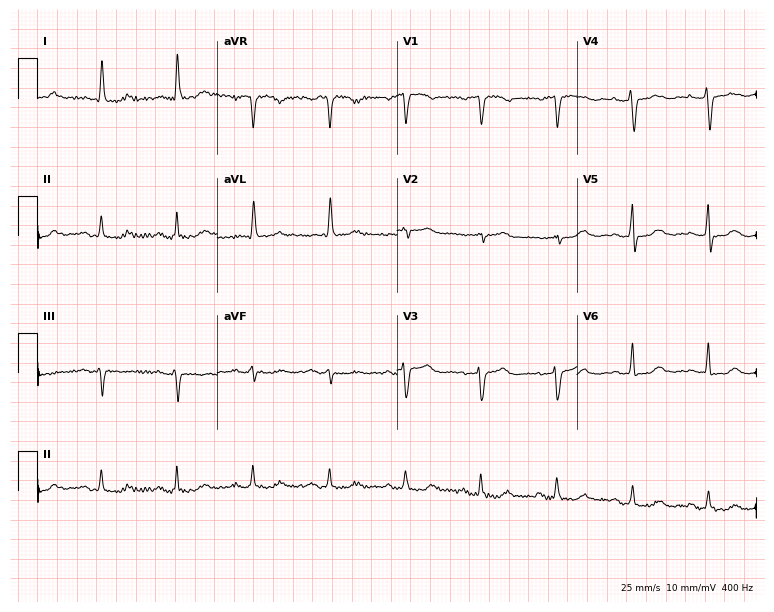
Resting 12-lead electrocardiogram (7.3-second recording at 400 Hz). Patient: a female, 66 years old. None of these six findings is recorded: first-degree AV block, right bundle branch block, left bundle branch block, sinus bradycardia, atrial fibrillation, sinus tachycardia. Findings outside these six are not listed.